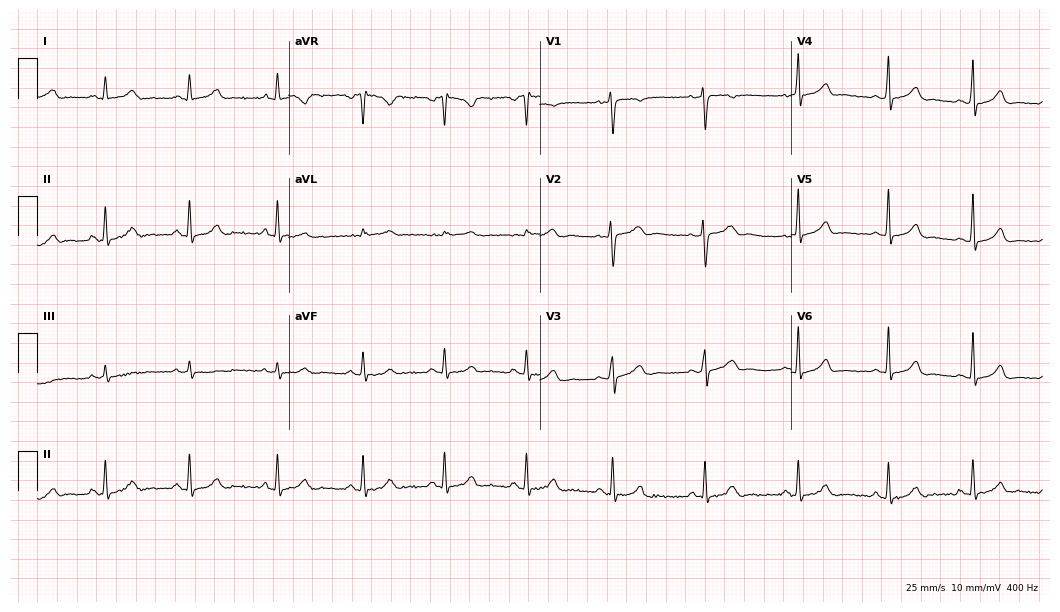
12-lead ECG (10.2-second recording at 400 Hz) from a female patient, 32 years old. Labelled as a normal ECG.